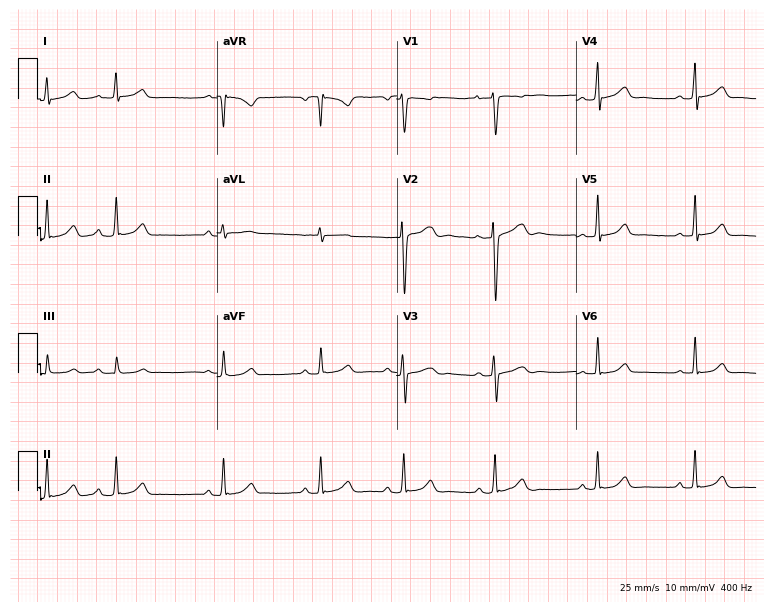
Standard 12-lead ECG recorded from a woman, 17 years old. Read as a normal ECG.